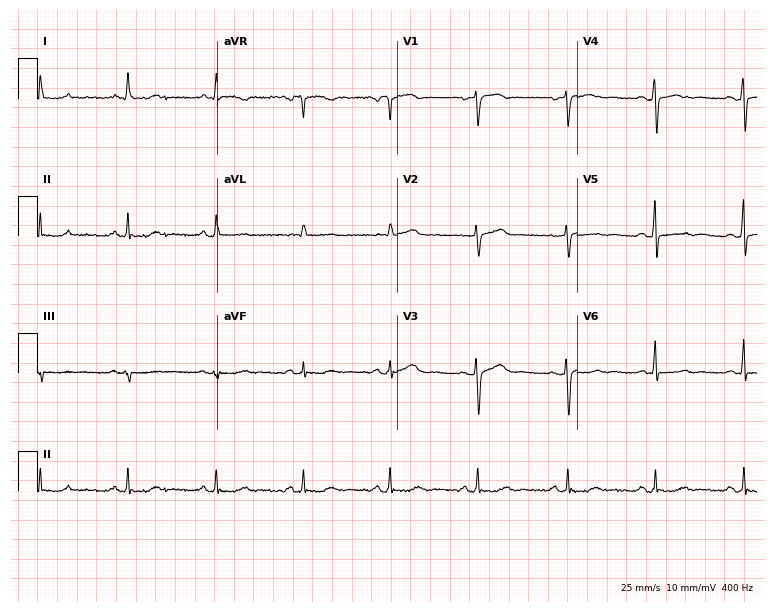
Resting 12-lead electrocardiogram. Patient: a female, 53 years old. None of these six findings is recorded: first-degree AV block, right bundle branch block (RBBB), left bundle branch block (LBBB), sinus bradycardia, atrial fibrillation (AF), sinus tachycardia.